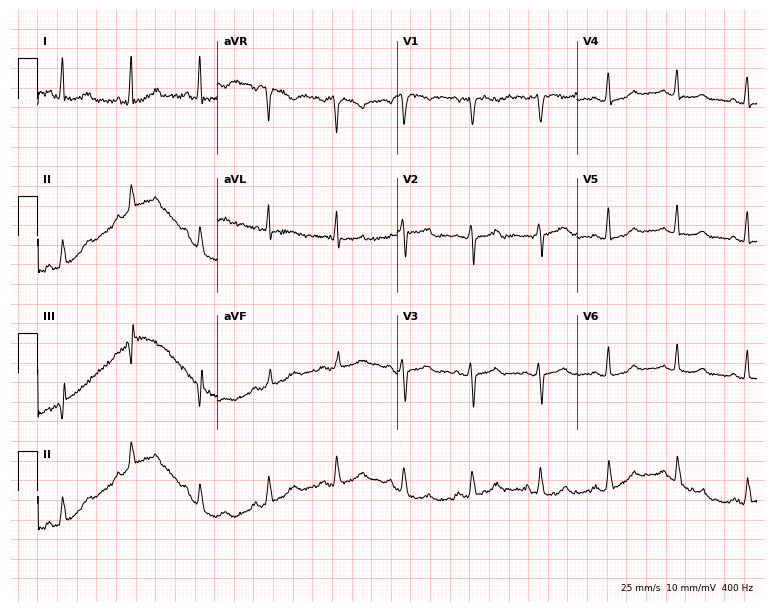
Resting 12-lead electrocardiogram. Patient: a female, 54 years old. Read as a normal ECG.